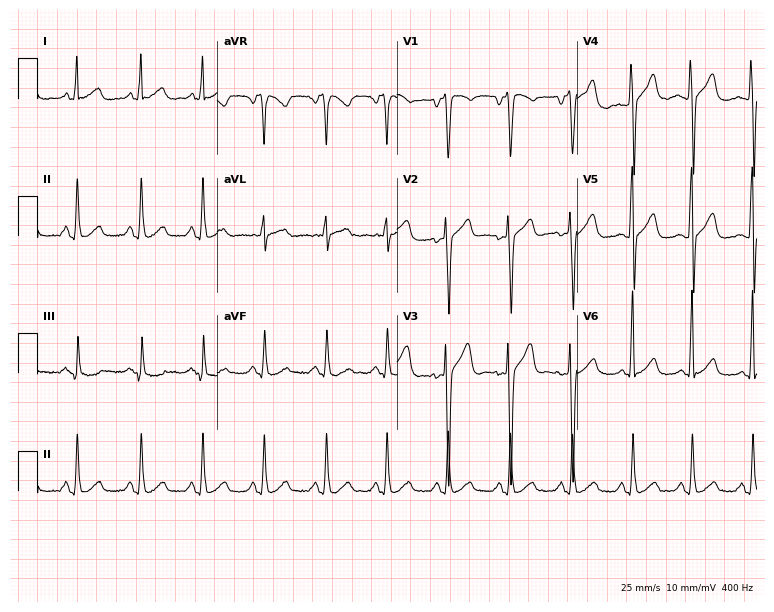
12-lead ECG from a male patient, 35 years old. No first-degree AV block, right bundle branch block, left bundle branch block, sinus bradycardia, atrial fibrillation or sinus tachycardia recorded for this tracing.